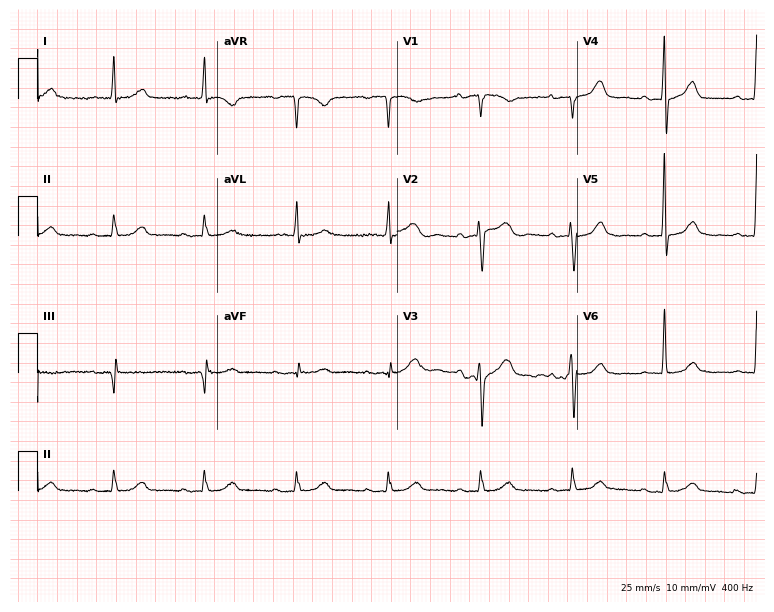
ECG (7.3-second recording at 400 Hz) — a female, 85 years old. Findings include first-degree AV block.